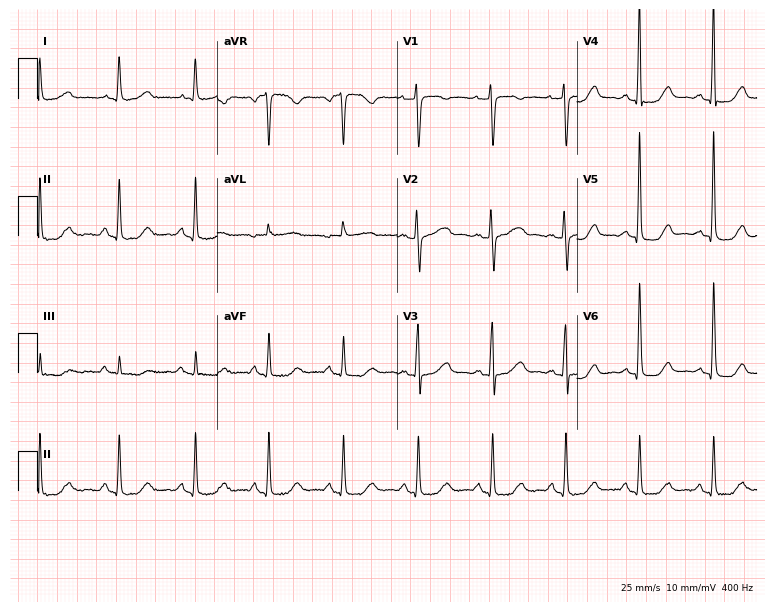
12-lead ECG from a female patient, 64 years old. Labelled as a normal ECG.